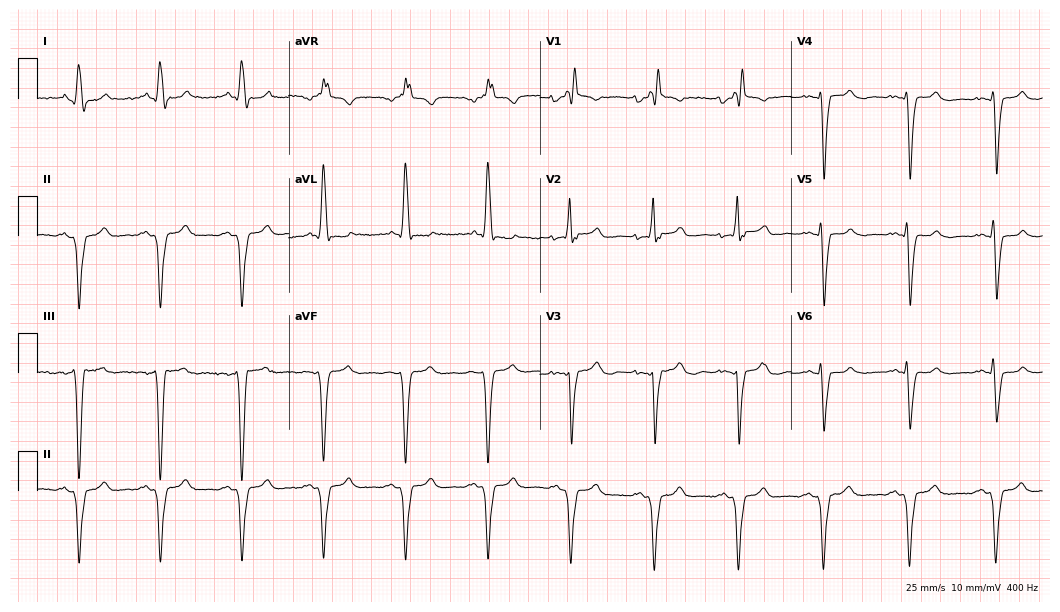
Standard 12-lead ECG recorded from a man, 85 years old (10.2-second recording at 400 Hz). The tracing shows right bundle branch block.